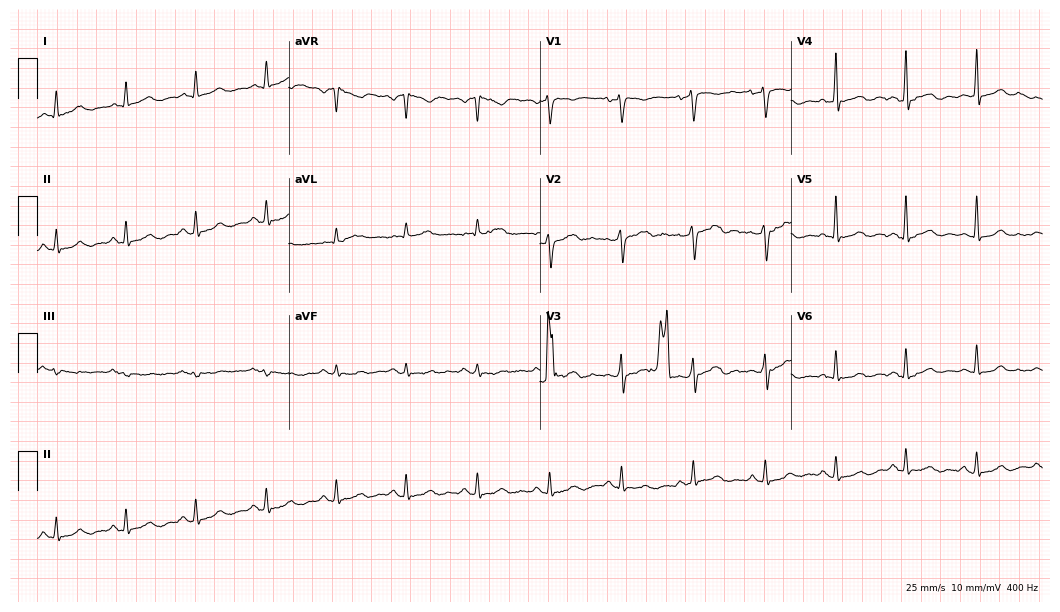
12-lead ECG from a male, 51 years old. Screened for six findings — first-degree AV block, right bundle branch block (RBBB), left bundle branch block (LBBB), sinus bradycardia, atrial fibrillation (AF), sinus tachycardia — none is recorded. Only these six findings were labelled.